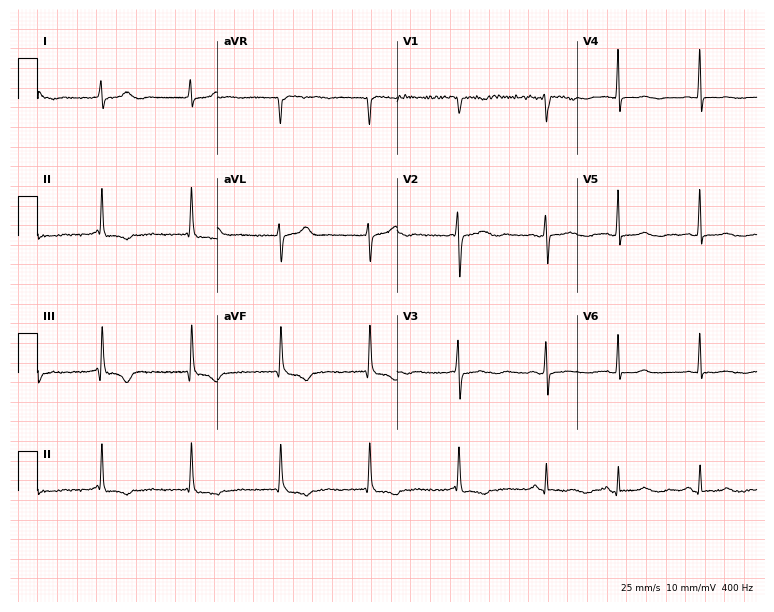
Resting 12-lead electrocardiogram (7.3-second recording at 400 Hz). Patient: a female, 43 years old. None of these six findings is recorded: first-degree AV block, right bundle branch block (RBBB), left bundle branch block (LBBB), sinus bradycardia, atrial fibrillation (AF), sinus tachycardia.